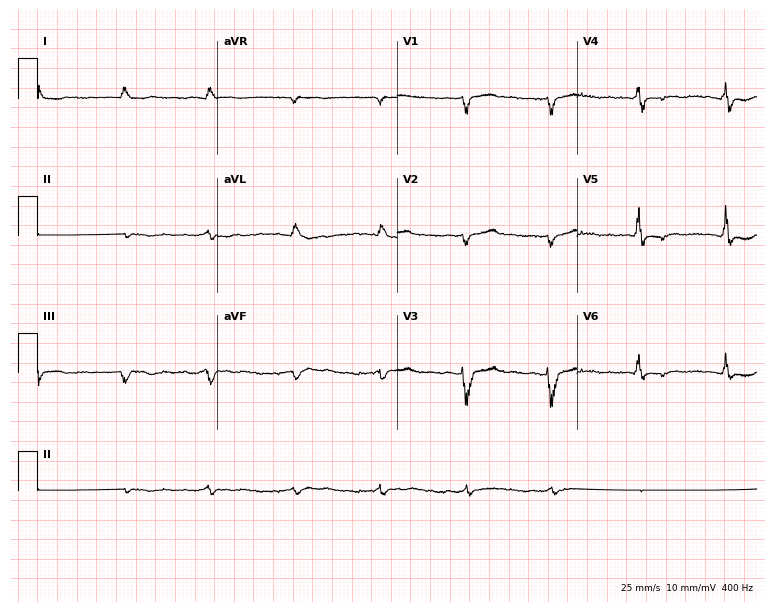
Resting 12-lead electrocardiogram. Patient: a 76-year-old female. None of these six findings is recorded: first-degree AV block, right bundle branch block, left bundle branch block, sinus bradycardia, atrial fibrillation, sinus tachycardia. Other findings, if any, are not listed.